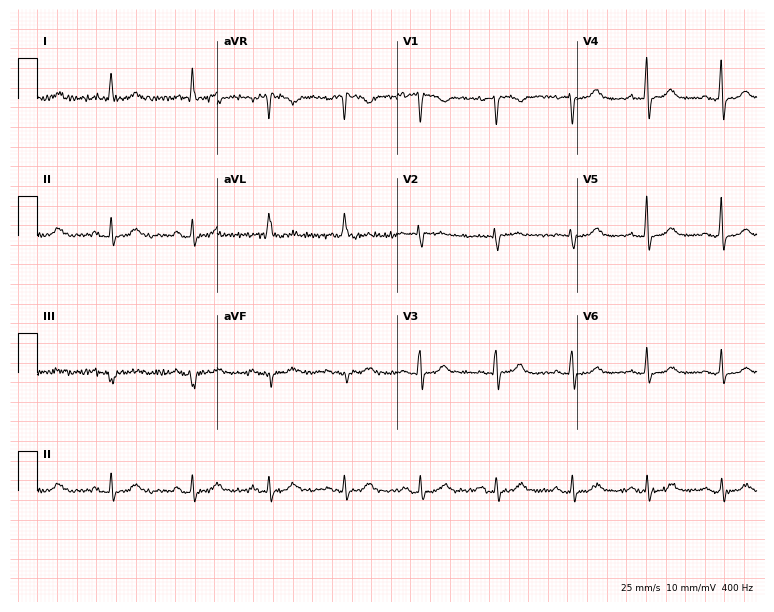
12-lead ECG from a female, 80 years old. Recorded interpretation: within normal limits.